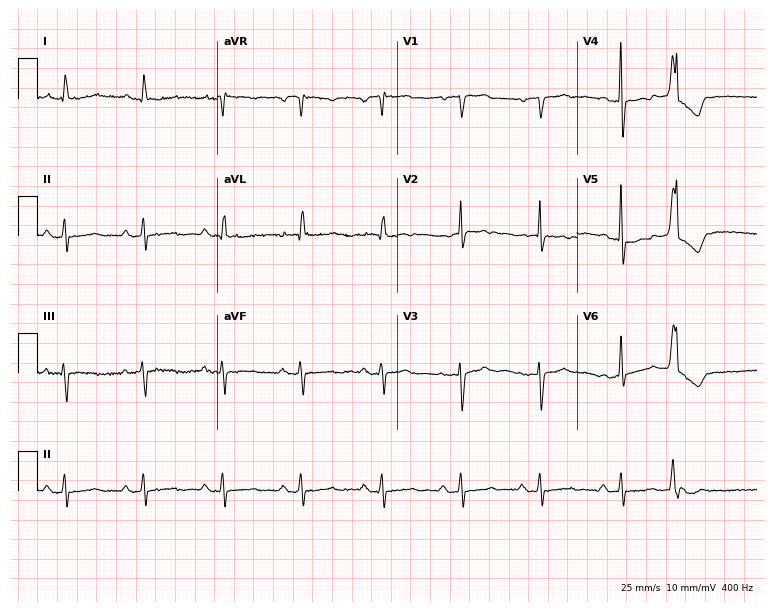
Electrocardiogram, an 80-year-old male patient. Of the six screened findings (first-degree AV block, right bundle branch block (RBBB), left bundle branch block (LBBB), sinus bradycardia, atrial fibrillation (AF), sinus tachycardia), none is recorded.